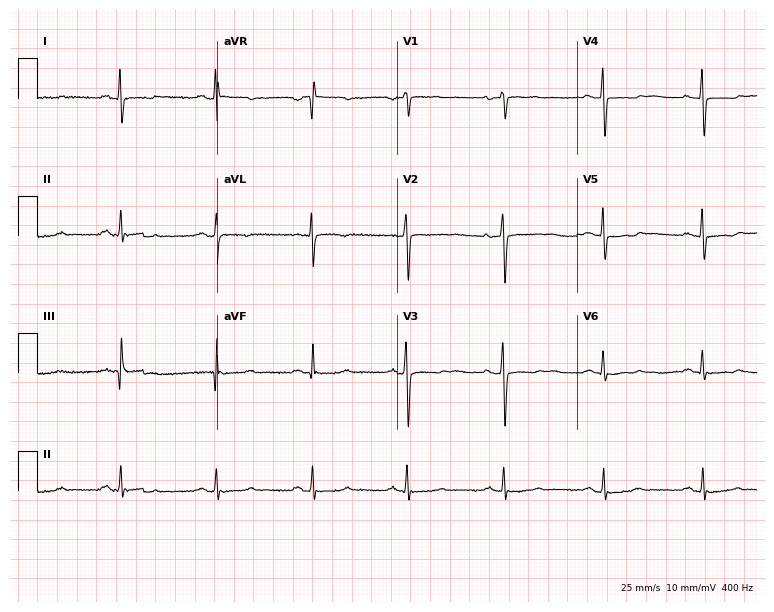
Standard 12-lead ECG recorded from a woman, 43 years old. None of these six findings is recorded: first-degree AV block, right bundle branch block, left bundle branch block, sinus bradycardia, atrial fibrillation, sinus tachycardia. Only these six findings were labelled.